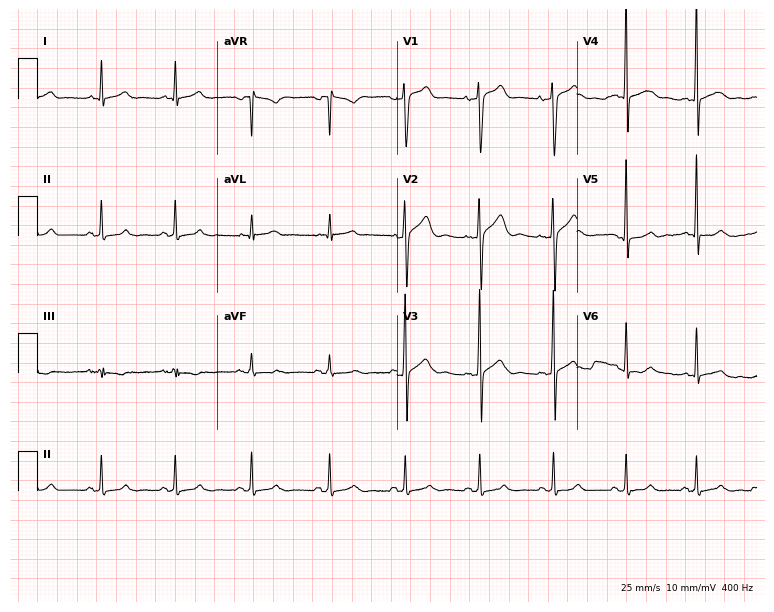
12-lead ECG (7.3-second recording at 400 Hz) from a male, 39 years old. Screened for six findings — first-degree AV block, right bundle branch block (RBBB), left bundle branch block (LBBB), sinus bradycardia, atrial fibrillation (AF), sinus tachycardia — none is recorded. Findings outside these six are not listed.